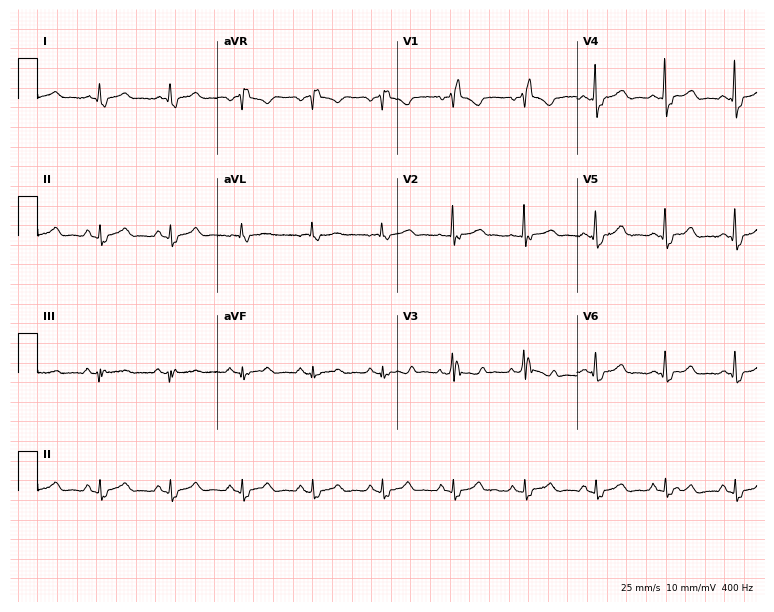
12-lead ECG from a 57-year-old female. Findings include right bundle branch block.